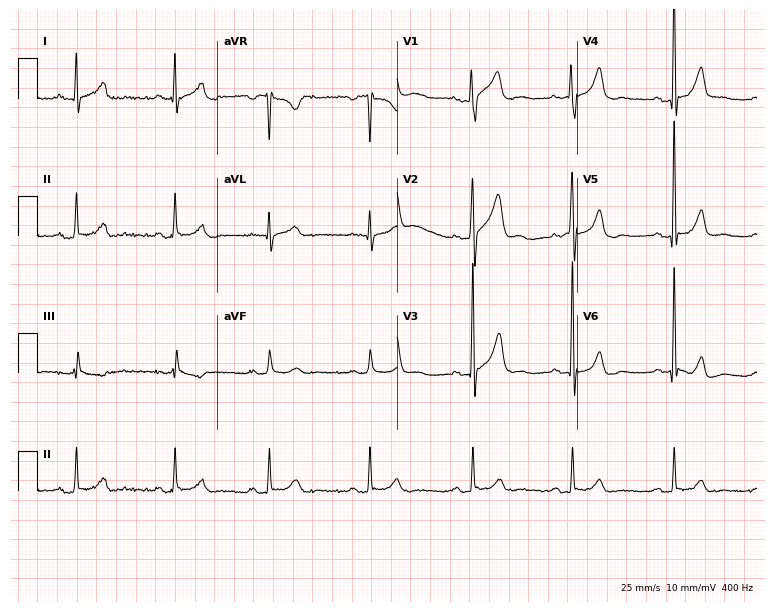
12-lead ECG from a male, 40 years old. Recorded interpretation: within normal limits.